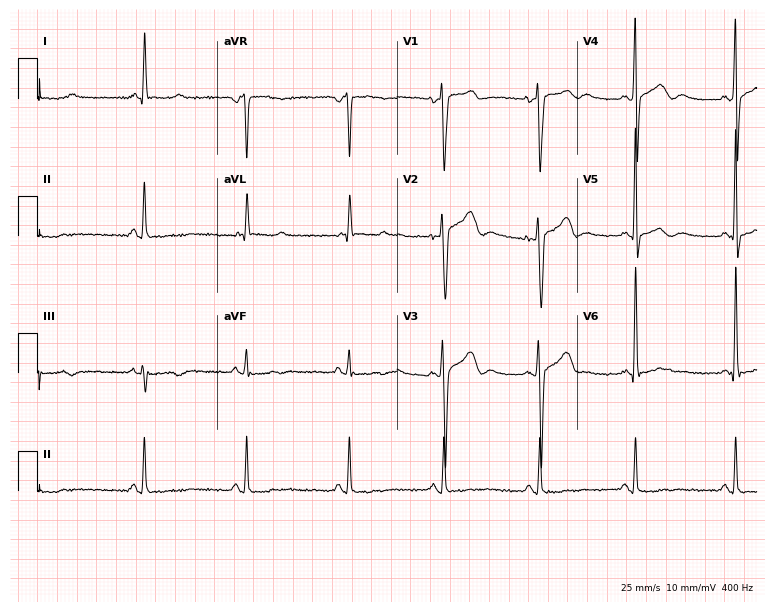
Standard 12-lead ECG recorded from a male, 52 years old. None of these six findings is recorded: first-degree AV block, right bundle branch block, left bundle branch block, sinus bradycardia, atrial fibrillation, sinus tachycardia. Only these six findings were labelled.